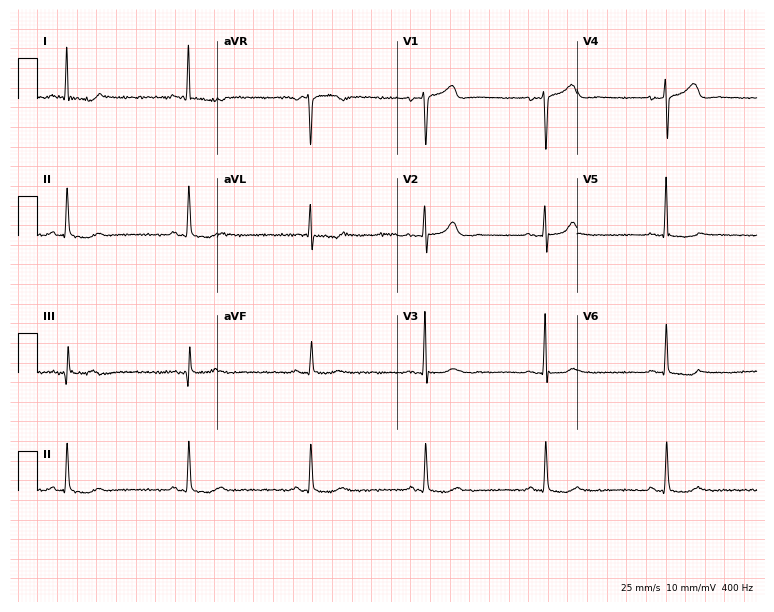
Standard 12-lead ECG recorded from an 84-year-old female. None of these six findings is recorded: first-degree AV block, right bundle branch block, left bundle branch block, sinus bradycardia, atrial fibrillation, sinus tachycardia.